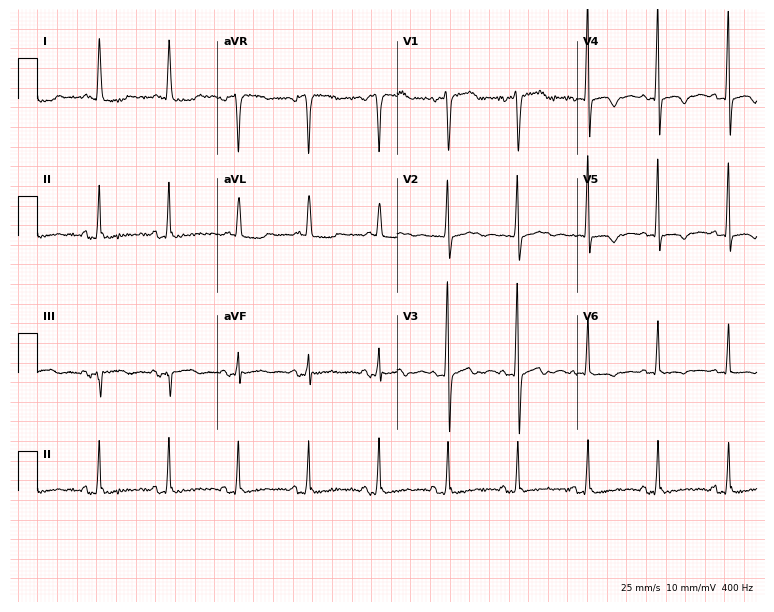
12-lead ECG (7.3-second recording at 400 Hz) from an 83-year-old woman. Screened for six findings — first-degree AV block, right bundle branch block, left bundle branch block, sinus bradycardia, atrial fibrillation, sinus tachycardia — none is recorded. Findings outside these six are not listed.